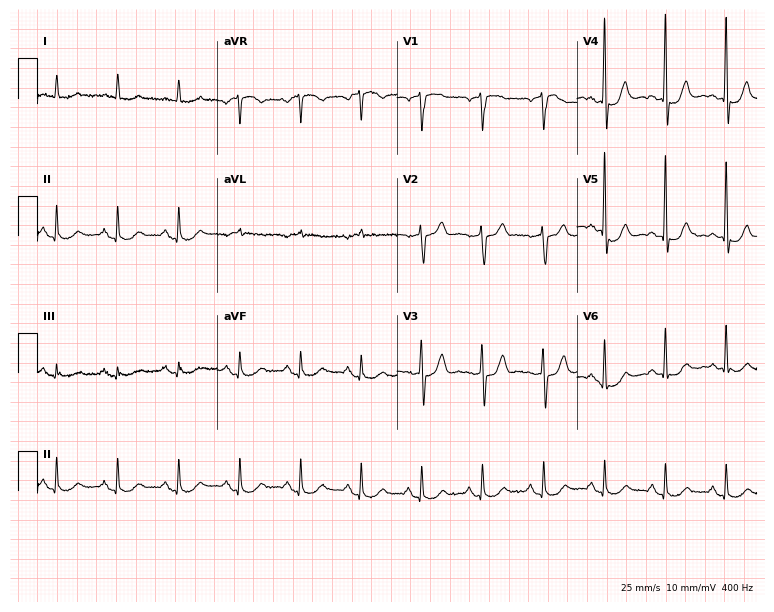
Standard 12-lead ECG recorded from a male patient, 79 years old (7.3-second recording at 400 Hz). None of these six findings is recorded: first-degree AV block, right bundle branch block, left bundle branch block, sinus bradycardia, atrial fibrillation, sinus tachycardia.